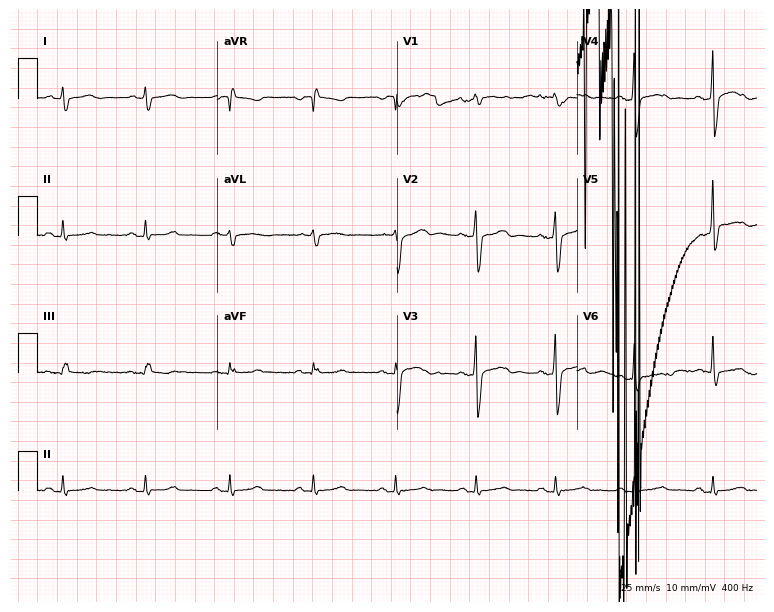
12-lead ECG from a man, 48 years old. No first-degree AV block, right bundle branch block, left bundle branch block, sinus bradycardia, atrial fibrillation or sinus tachycardia recorded for this tracing.